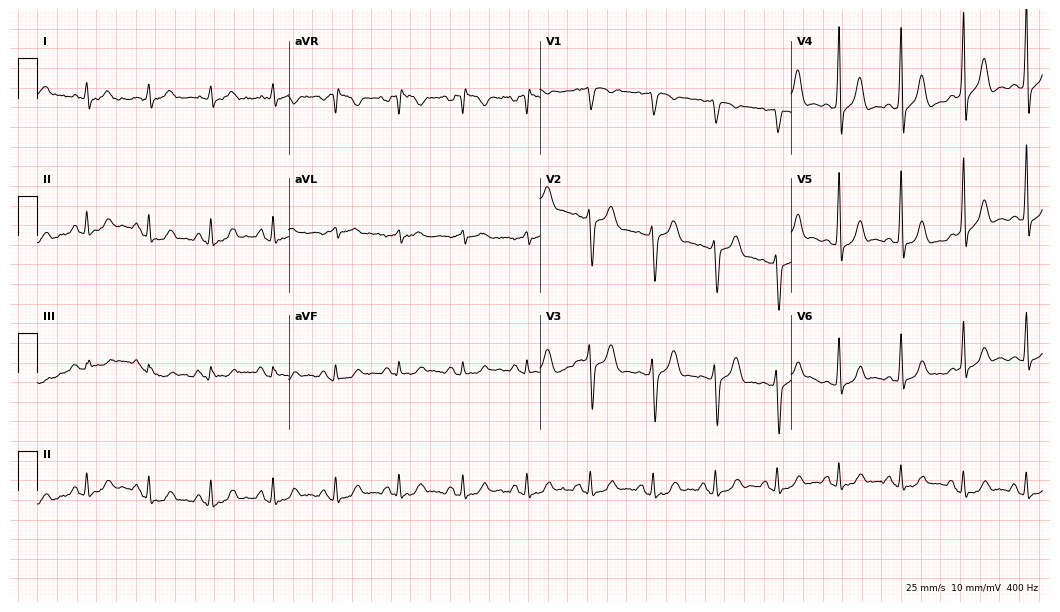
12-lead ECG from a male, 57 years old. Labelled as a normal ECG.